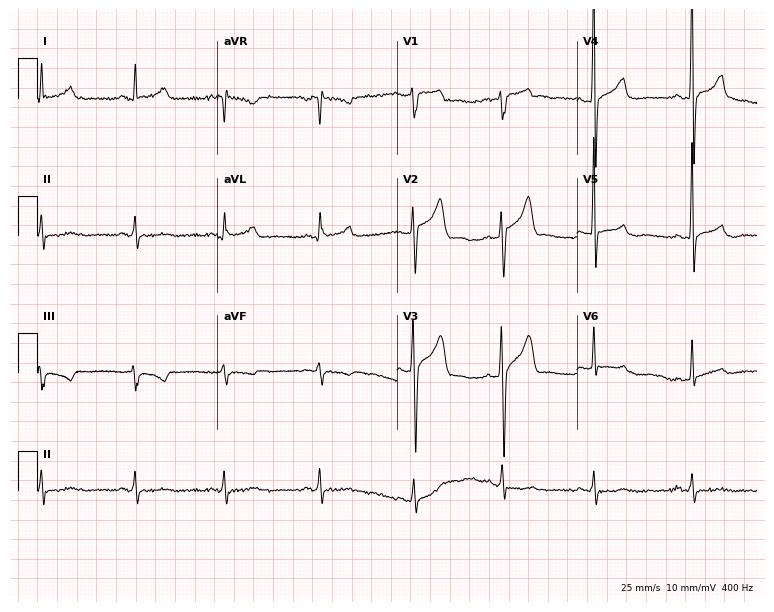
Electrocardiogram (7.3-second recording at 400 Hz), a man, 36 years old. Of the six screened findings (first-degree AV block, right bundle branch block, left bundle branch block, sinus bradycardia, atrial fibrillation, sinus tachycardia), none is recorded. Only these six findings were labelled.